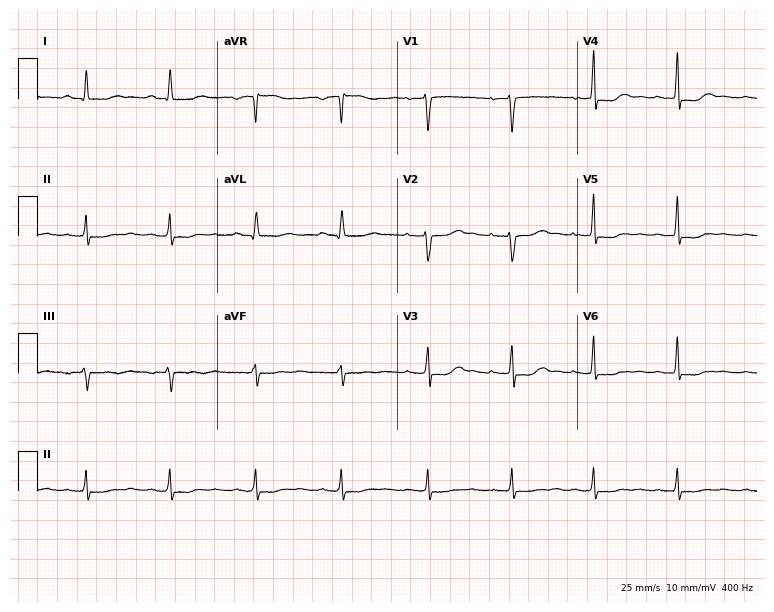
Standard 12-lead ECG recorded from a 45-year-old female patient (7.3-second recording at 400 Hz). None of these six findings is recorded: first-degree AV block, right bundle branch block, left bundle branch block, sinus bradycardia, atrial fibrillation, sinus tachycardia. Only these six findings were labelled.